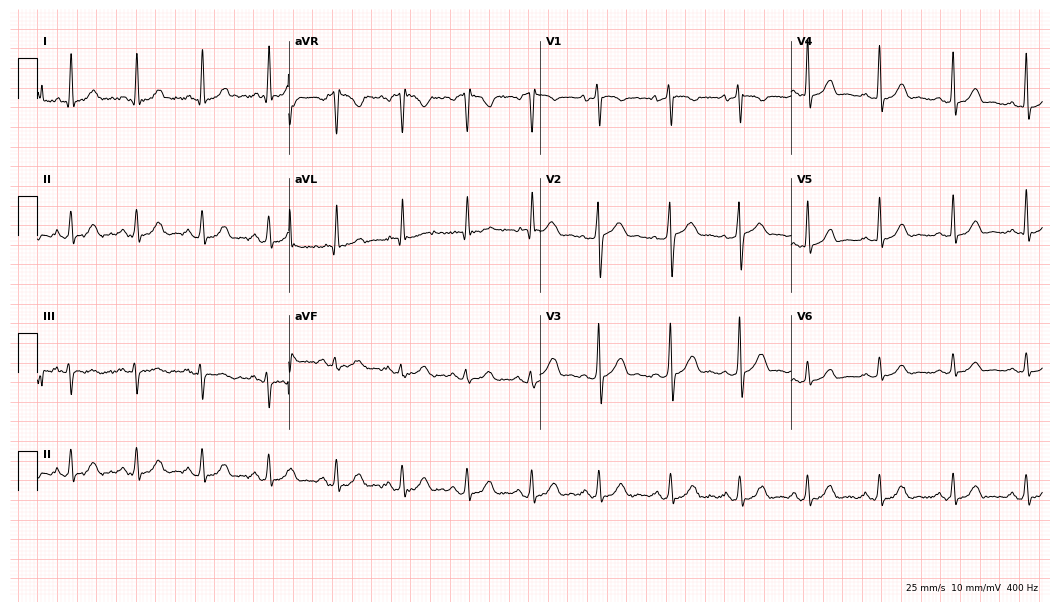
Electrocardiogram (10.2-second recording at 400 Hz), a male patient, 43 years old. Overall reading on record: normal ECG.